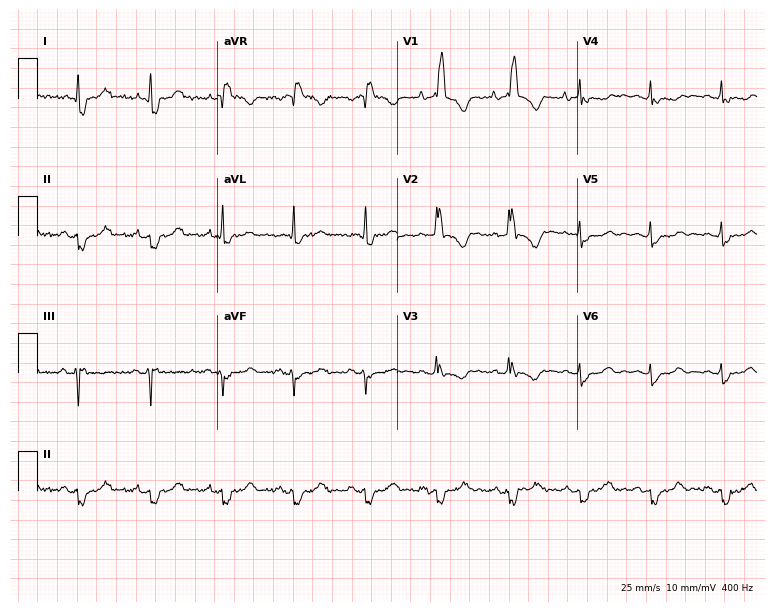
Electrocardiogram, a female patient, 76 years old. Interpretation includes right bundle branch block (RBBB).